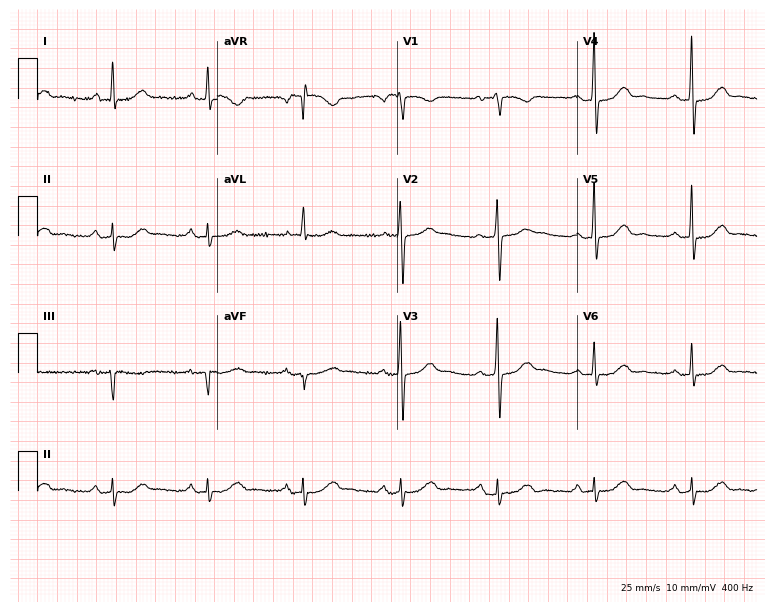
12-lead ECG from a 64-year-old female patient. Shows first-degree AV block.